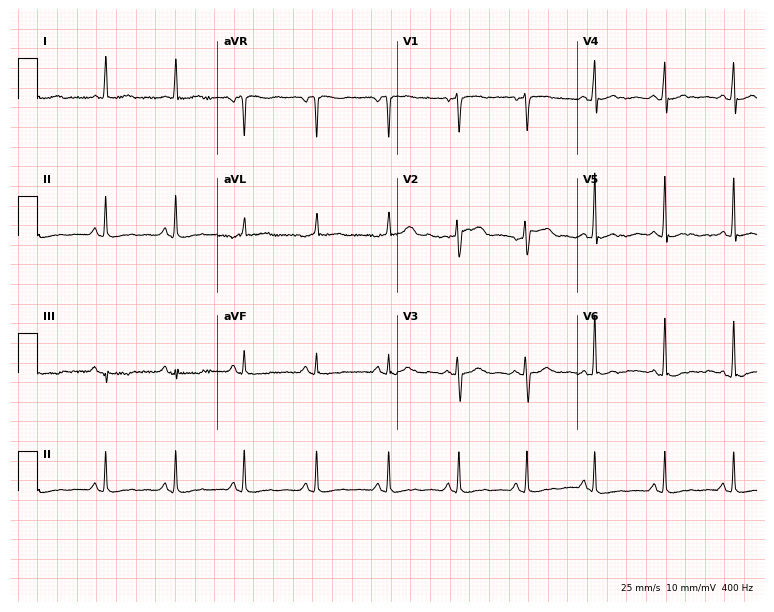
ECG — a 51-year-old female. Screened for six findings — first-degree AV block, right bundle branch block, left bundle branch block, sinus bradycardia, atrial fibrillation, sinus tachycardia — none is recorded.